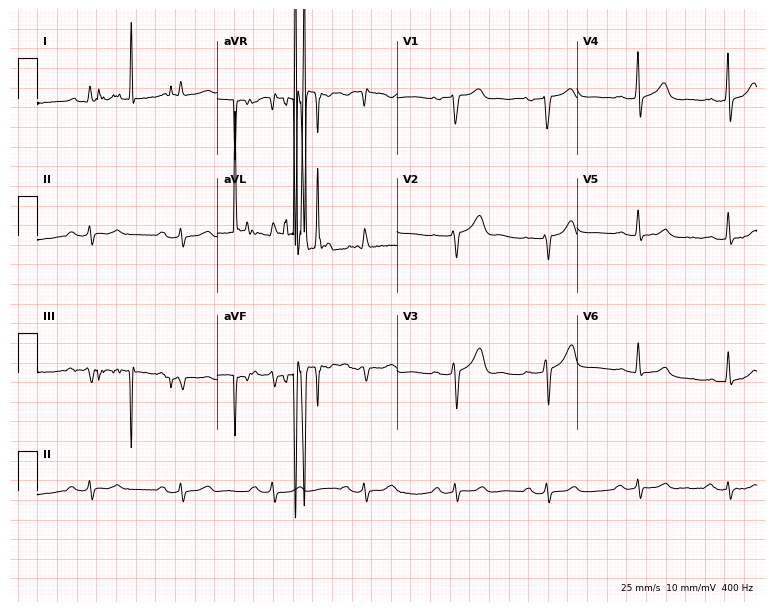
Electrocardiogram (7.3-second recording at 400 Hz), a man, 80 years old. Of the six screened findings (first-degree AV block, right bundle branch block, left bundle branch block, sinus bradycardia, atrial fibrillation, sinus tachycardia), none is recorded. Findings outside these six are not listed.